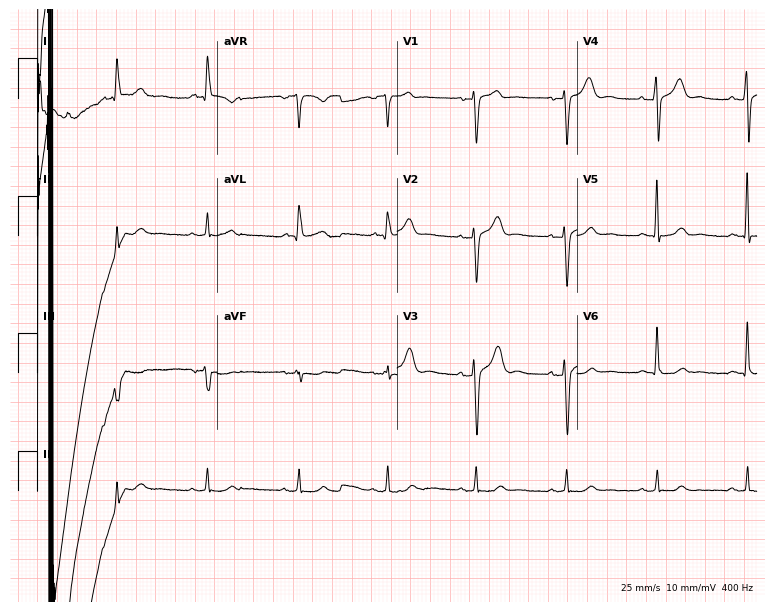
Electrocardiogram (7.3-second recording at 400 Hz), a 61-year-old male patient. Overall reading on record: normal ECG.